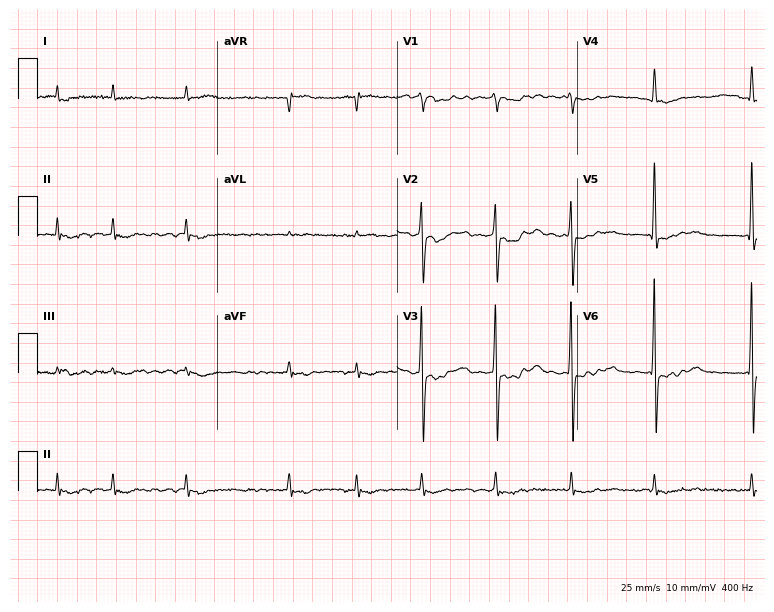
12-lead ECG from a 79-year-old male (7.3-second recording at 400 Hz). Shows atrial fibrillation (AF).